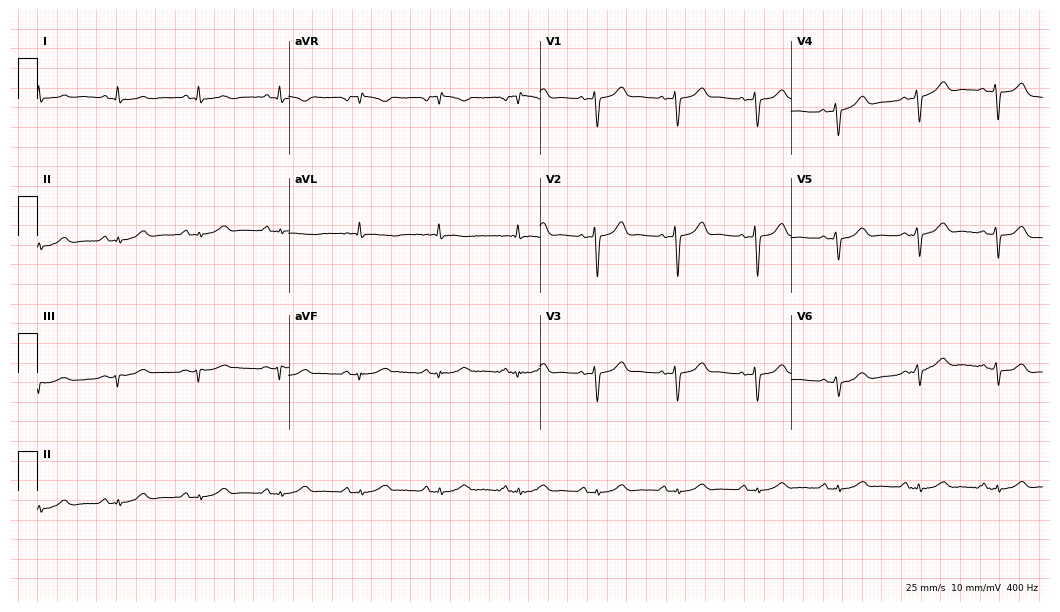
12-lead ECG from a woman, 79 years old. Screened for six findings — first-degree AV block, right bundle branch block, left bundle branch block, sinus bradycardia, atrial fibrillation, sinus tachycardia — none is recorded.